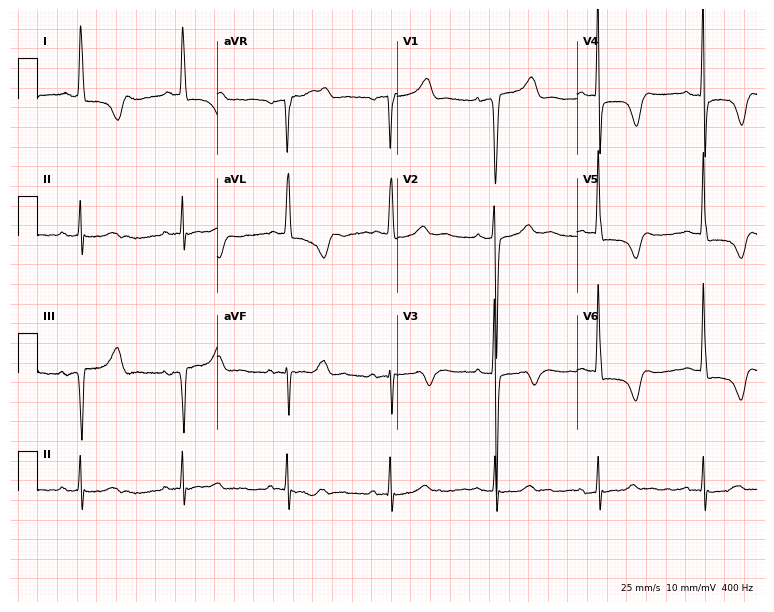
Standard 12-lead ECG recorded from a 73-year-old female patient. None of these six findings is recorded: first-degree AV block, right bundle branch block (RBBB), left bundle branch block (LBBB), sinus bradycardia, atrial fibrillation (AF), sinus tachycardia.